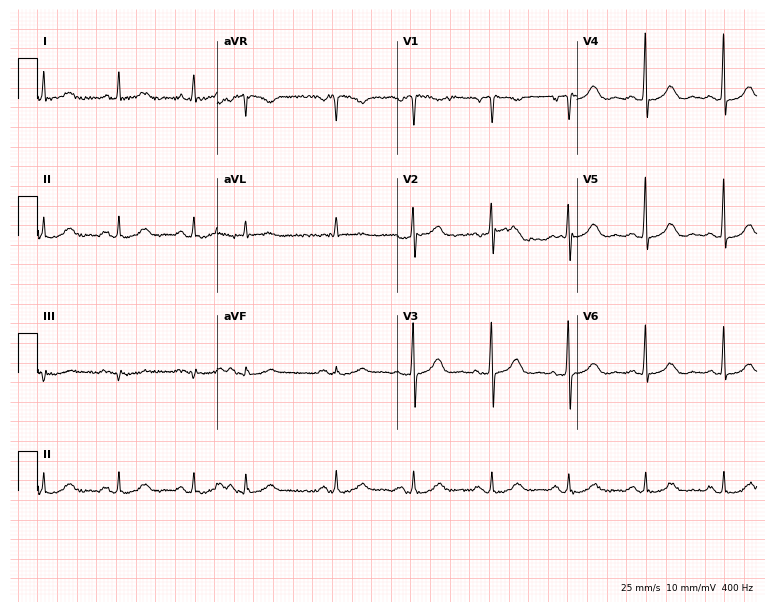
Electrocardiogram (7.3-second recording at 400 Hz), a 78-year-old female patient. Overall reading on record: normal ECG.